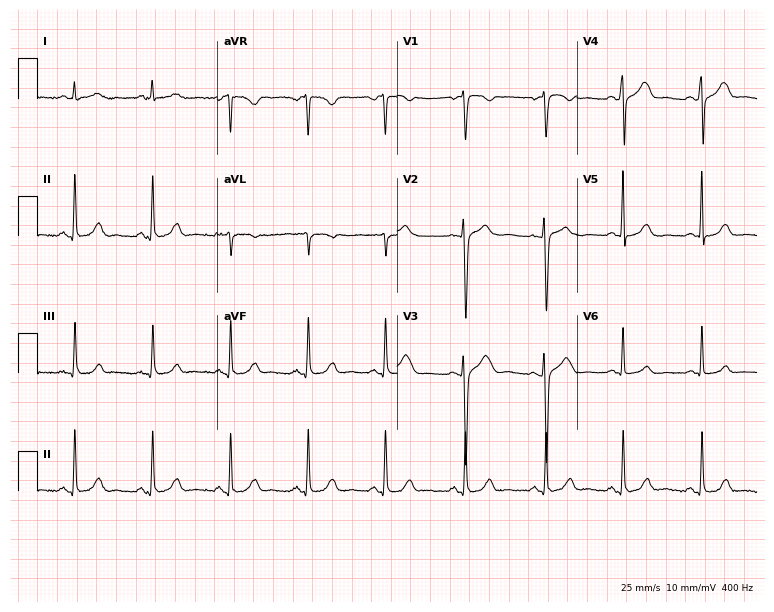
Standard 12-lead ECG recorded from a 40-year-old female patient (7.3-second recording at 400 Hz). Read as a normal ECG.